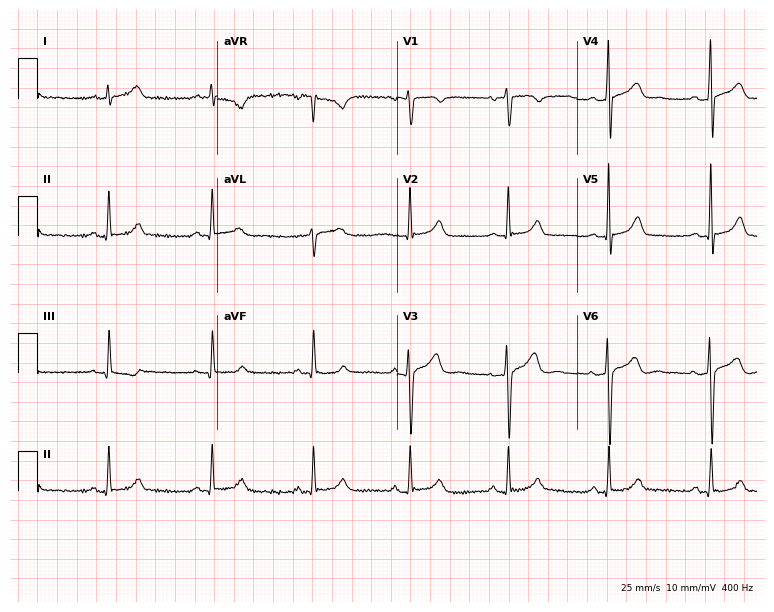
Standard 12-lead ECG recorded from a male, 41 years old. Read as a normal ECG.